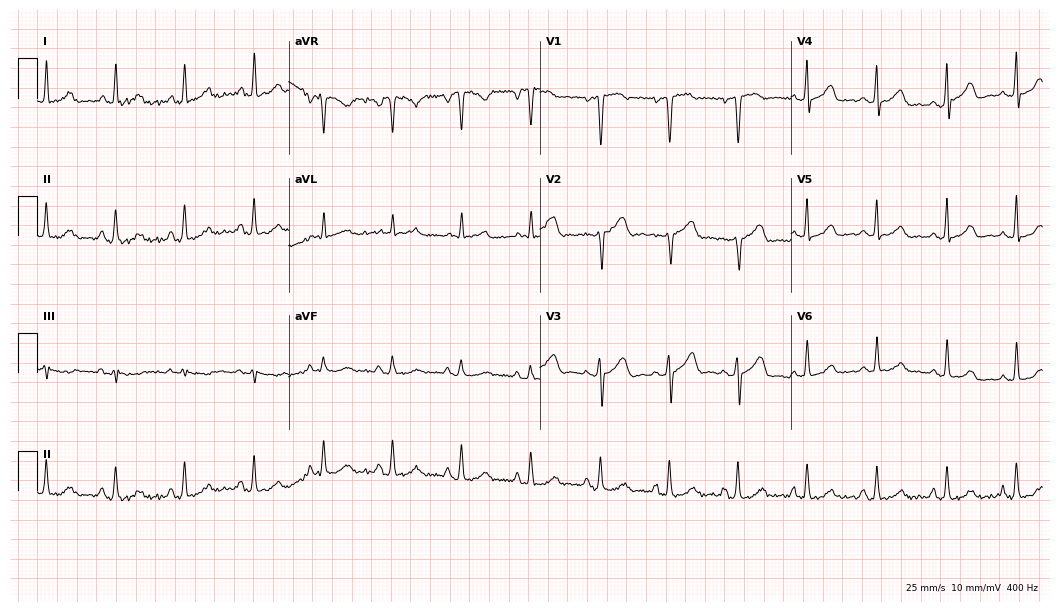
Resting 12-lead electrocardiogram. Patient: a 46-year-old female. Read as a normal ECG.